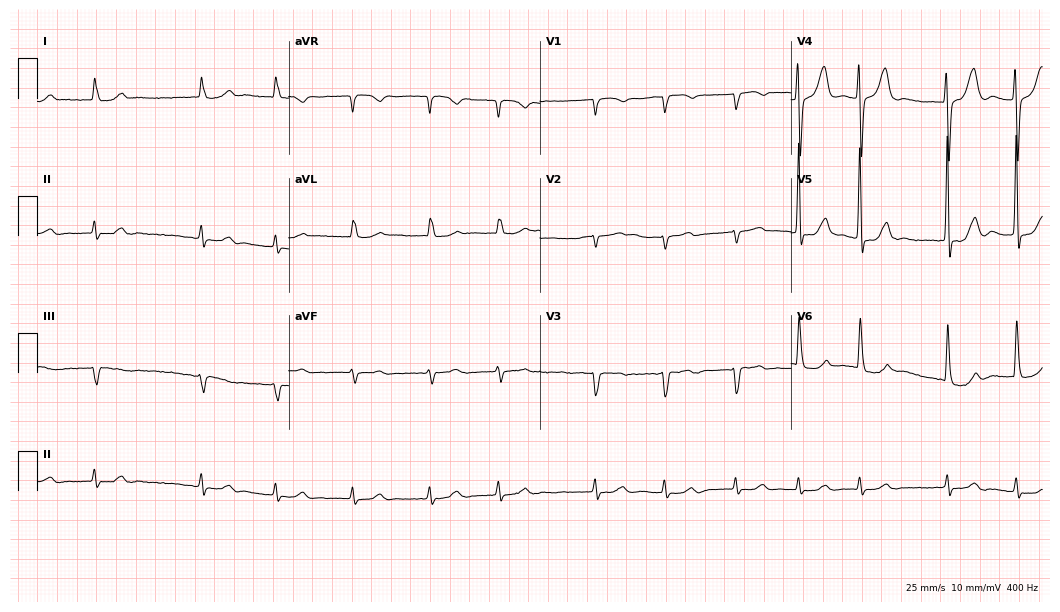
12-lead ECG (10.2-second recording at 400 Hz) from a woman, 83 years old. Screened for six findings — first-degree AV block, right bundle branch block, left bundle branch block, sinus bradycardia, atrial fibrillation, sinus tachycardia — none is recorded.